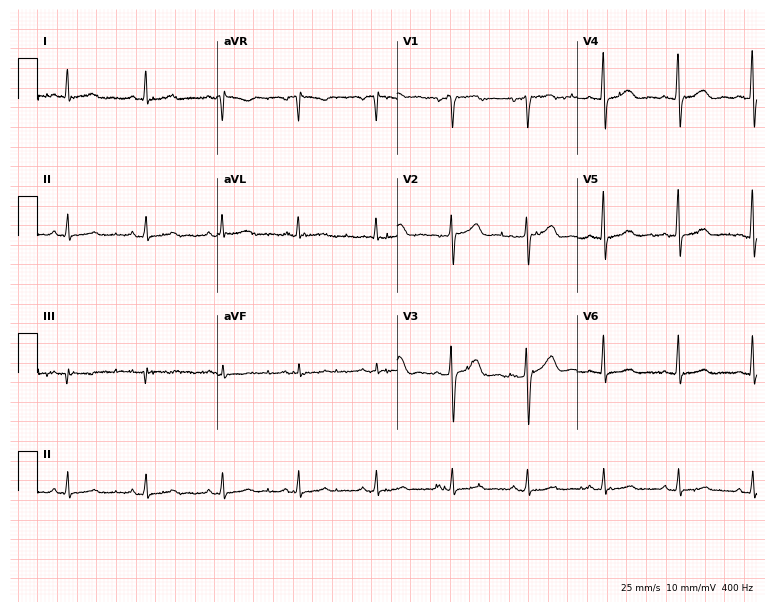
12-lead ECG from a 54-year-old female. Recorded interpretation: within normal limits.